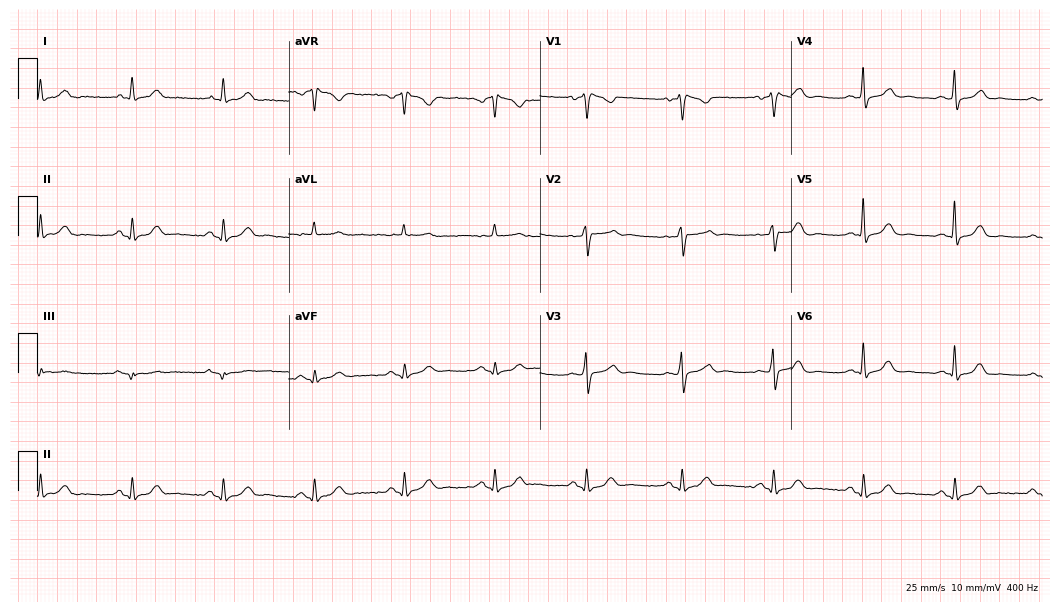
ECG (10.2-second recording at 400 Hz) — a 61-year-old woman. Screened for six findings — first-degree AV block, right bundle branch block, left bundle branch block, sinus bradycardia, atrial fibrillation, sinus tachycardia — none is recorded.